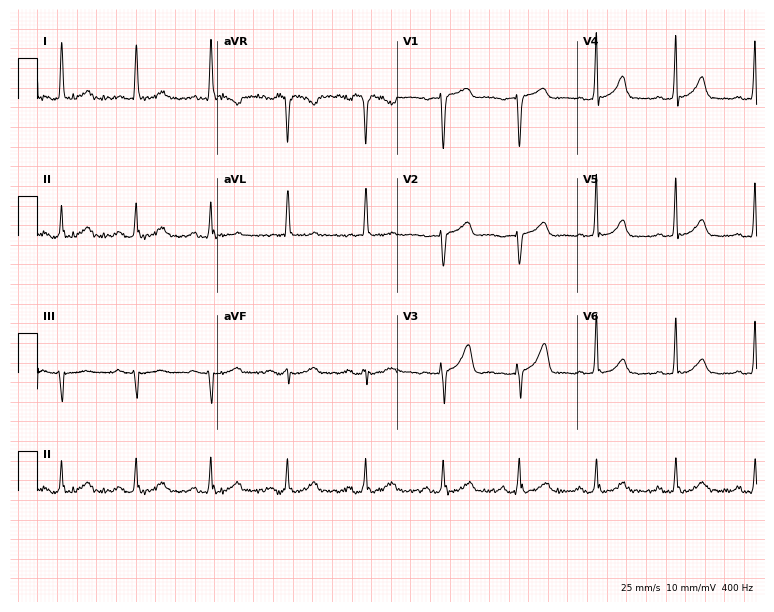
Resting 12-lead electrocardiogram. Patient: a 60-year-old woman. Read as a normal ECG.